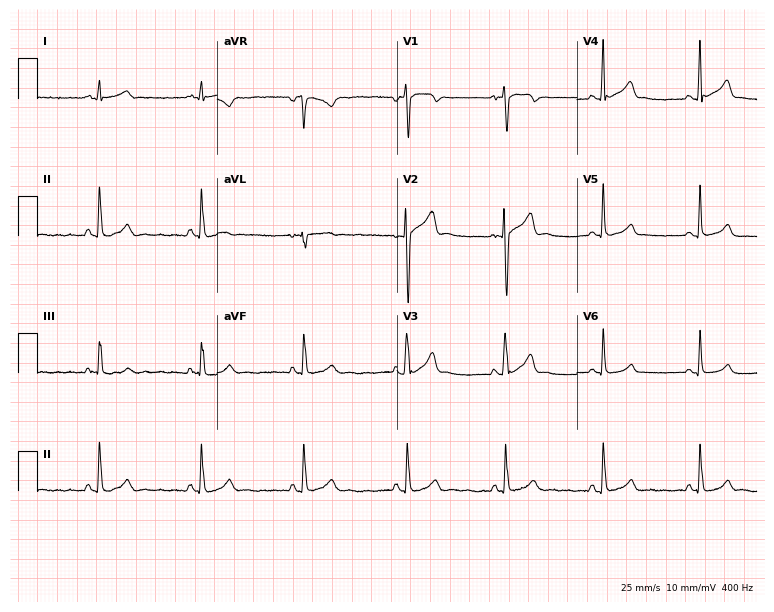
Electrocardiogram, a 19-year-old man. Overall reading on record: normal ECG.